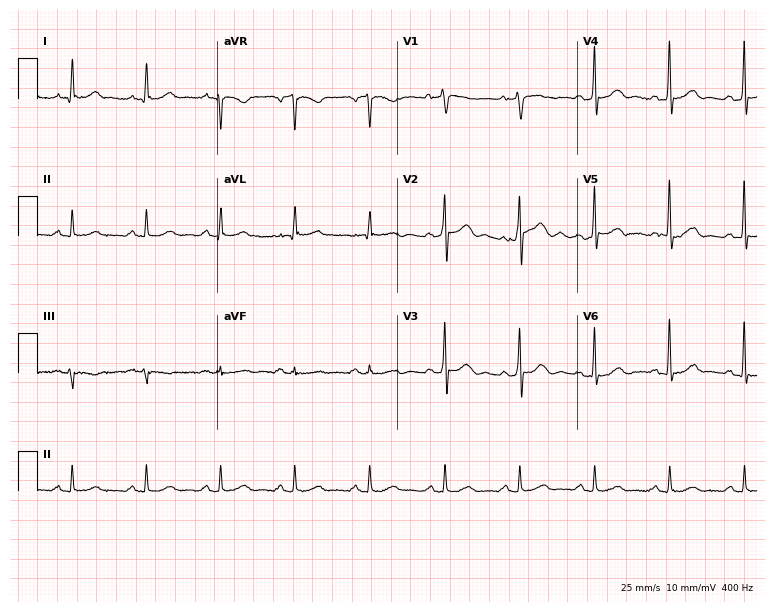
12-lead ECG from a male, 66 years old. Recorded interpretation: within normal limits.